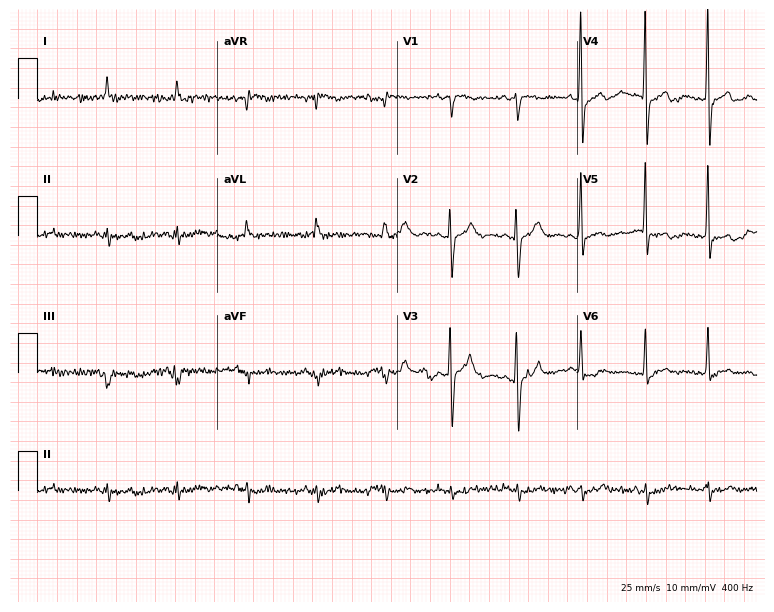
Resting 12-lead electrocardiogram. Patient: an 82-year-old woman. None of these six findings is recorded: first-degree AV block, right bundle branch block, left bundle branch block, sinus bradycardia, atrial fibrillation, sinus tachycardia. Findings outside these six are not listed.